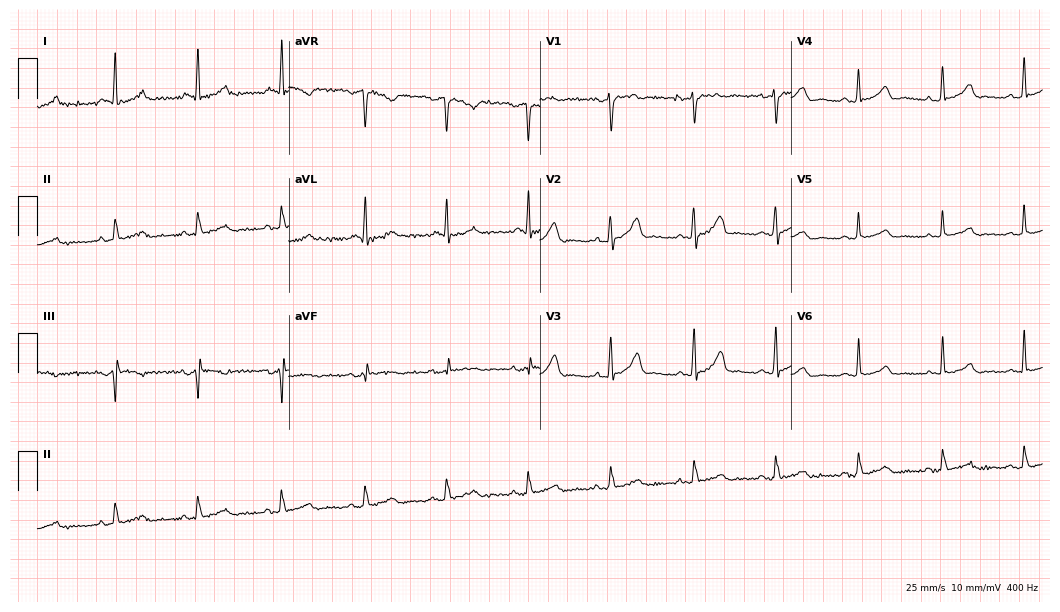
12-lead ECG from a male patient, 56 years old (10.2-second recording at 400 Hz). No first-degree AV block, right bundle branch block, left bundle branch block, sinus bradycardia, atrial fibrillation or sinus tachycardia recorded for this tracing. Only these six findings were labelled.